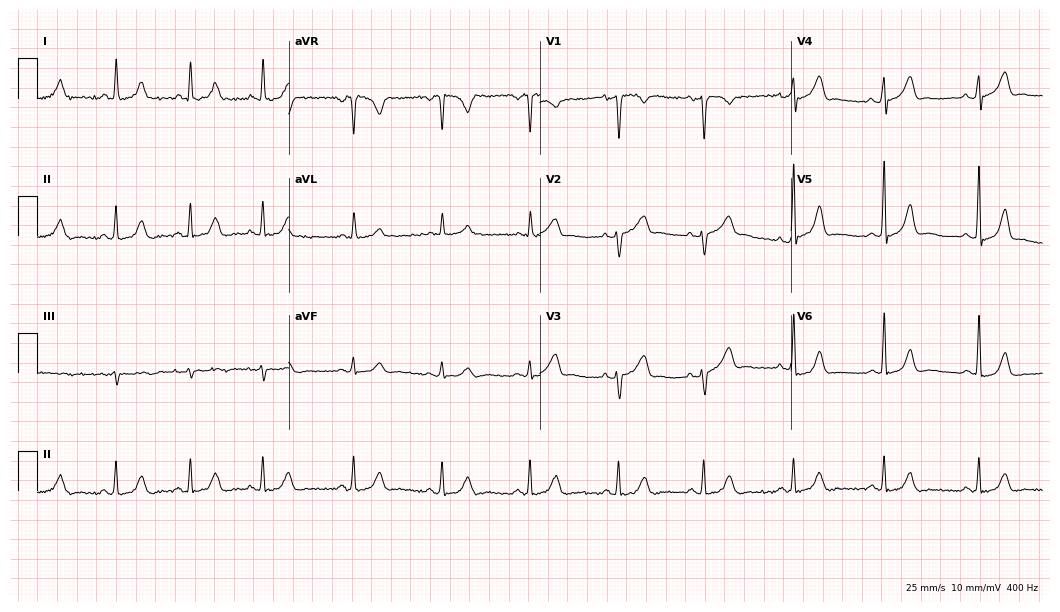
Resting 12-lead electrocardiogram (10.2-second recording at 400 Hz). Patient: a 40-year-old female. Read as a normal ECG.